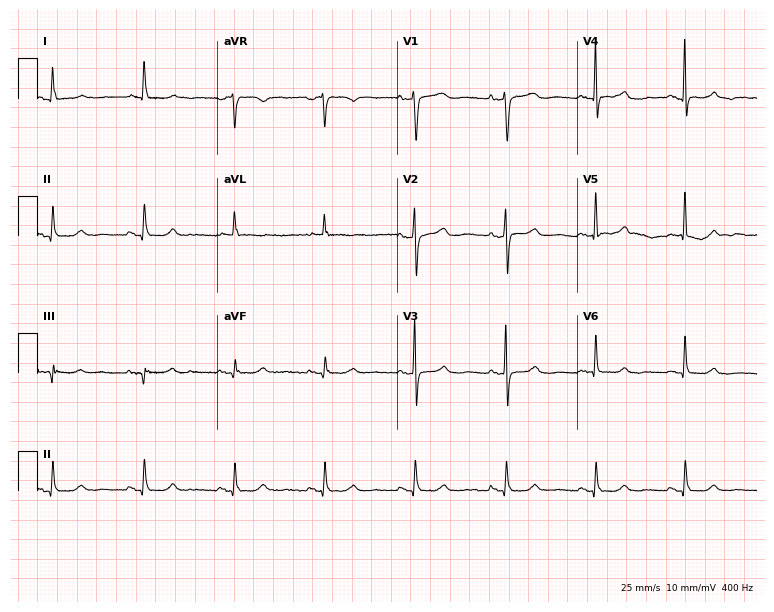
ECG (7.3-second recording at 400 Hz) — a female, 85 years old. Labelled as a normal ECG.